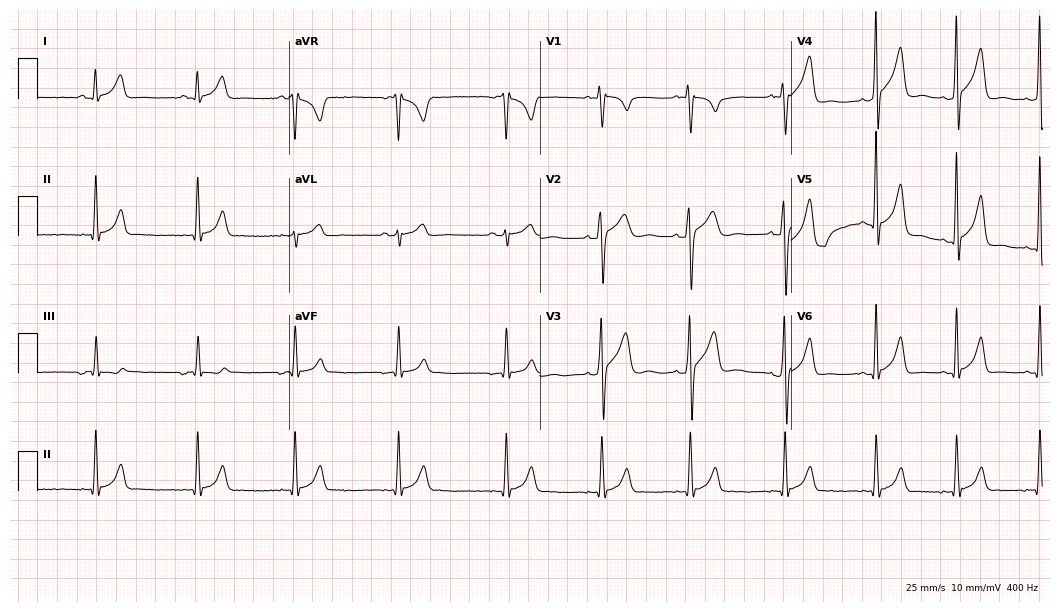
Resting 12-lead electrocardiogram. Patient: a male, 17 years old. Read as a normal ECG.